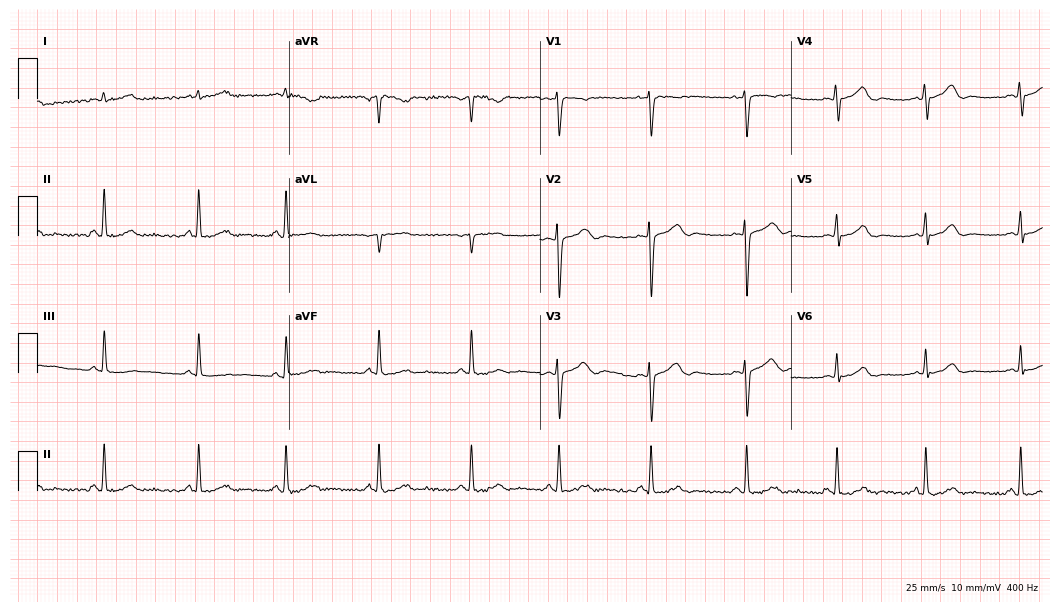
Resting 12-lead electrocardiogram (10.2-second recording at 400 Hz). Patient: a 28-year-old female. None of these six findings is recorded: first-degree AV block, right bundle branch block, left bundle branch block, sinus bradycardia, atrial fibrillation, sinus tachycardia.